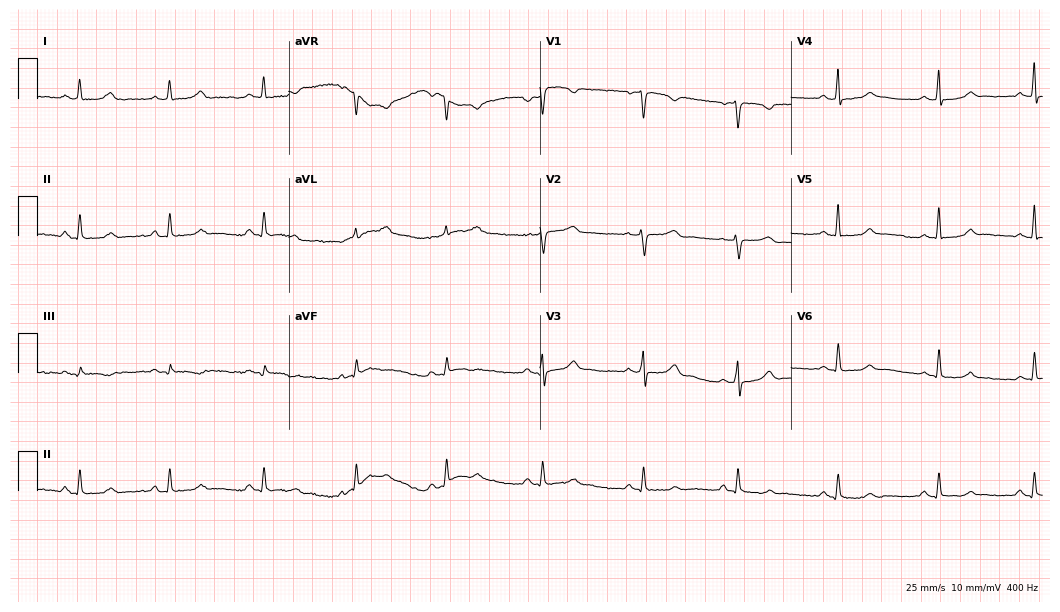
12-lead ECG (10.2-second recording at 400 Hz) from a woman, 39 years old. Screened for six findings — first-degree AV block, right bundle branch block, left bundle branch block, sinus bradycardia, atrial fibrillation, sinus tachycardia — none is recorded. Findings outside these six are not listed.